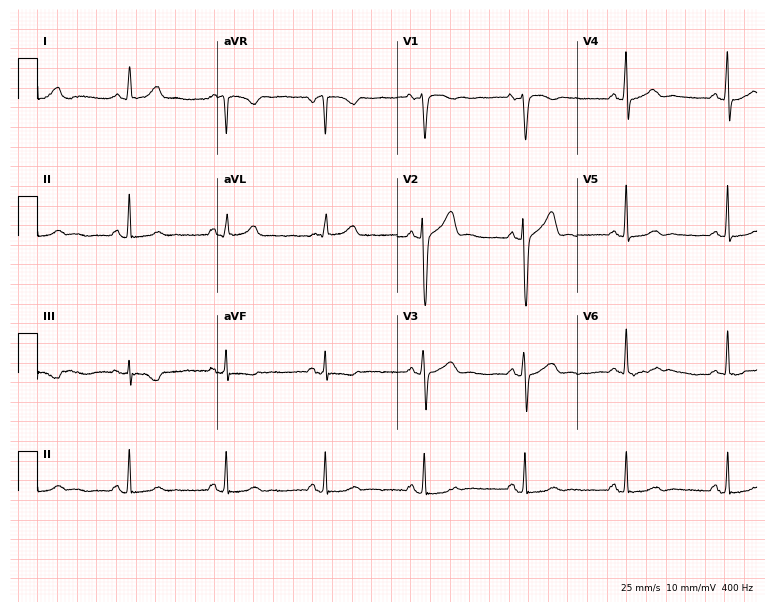
12-lead ECG (7.3-second recording at 400 Hz) from a man, 58 years old. Labelled as a normal ECG.